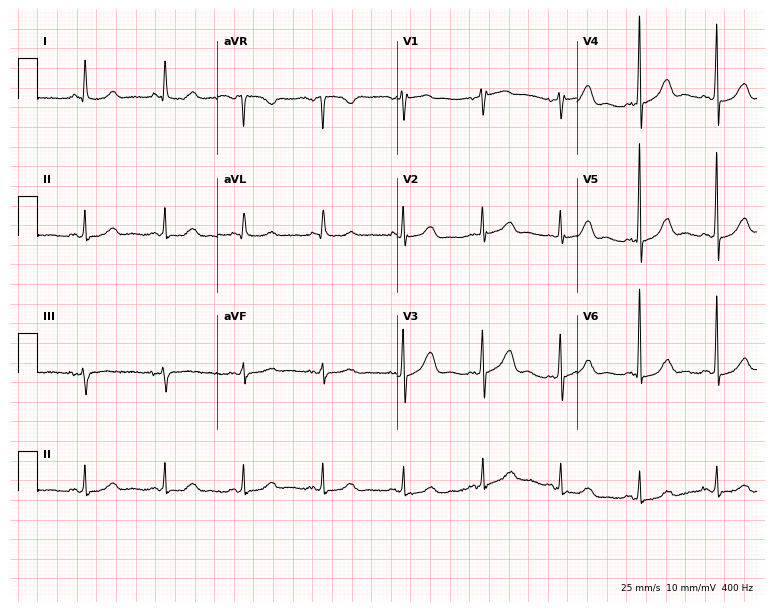
Standard 12-lead ECG recorded from a 68-year-old woman. None of these six findings is recorded: first-degree AV block, right bundle branch block, left bundle branch block, sinus bradycardia, atrial fibrillation, sinus tachycardia. Only these six findings were labelled.